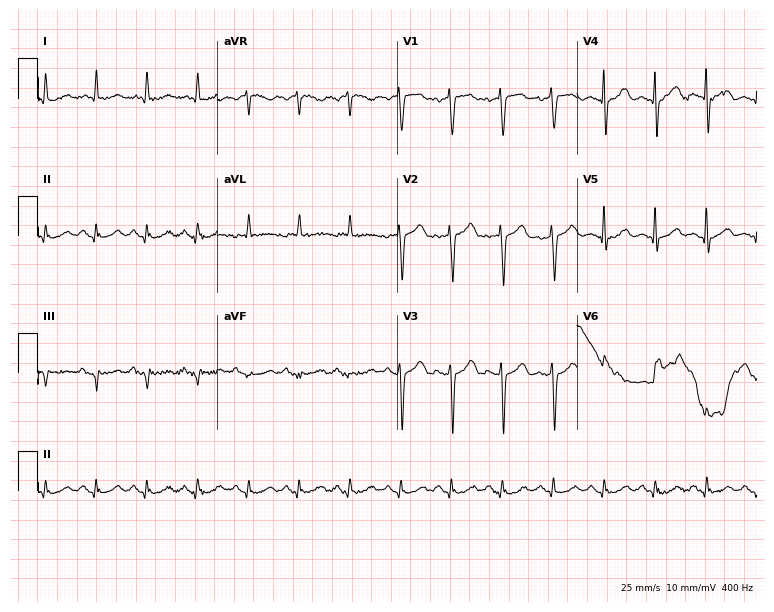
Standard 12-lead ECG recorded from an 85-year-old female patient. None of these six findings is recorded: first-degree AV block, right bundle branch block, left bundle branch block, sinus bradycardia, atrial fibrillation, sinus tachycardia.